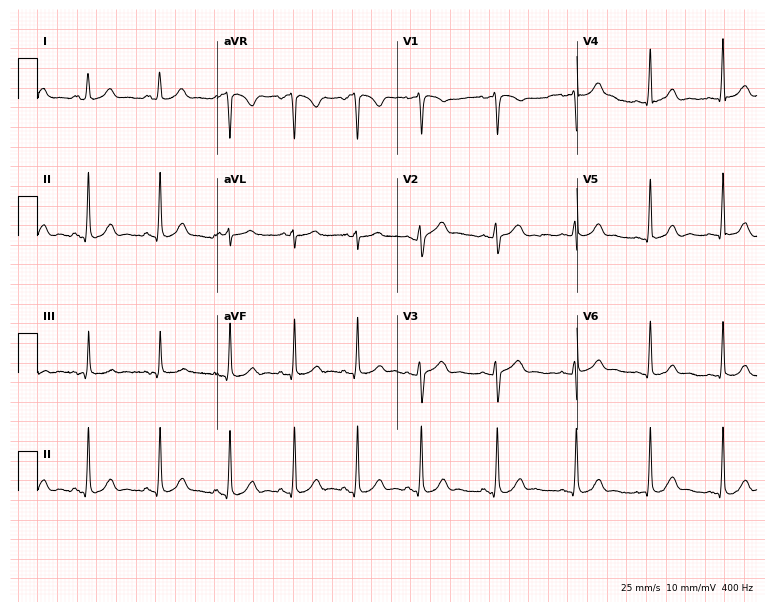
12-lead ECG from an 18-year-old female patient. Labelled as a normal ECG.